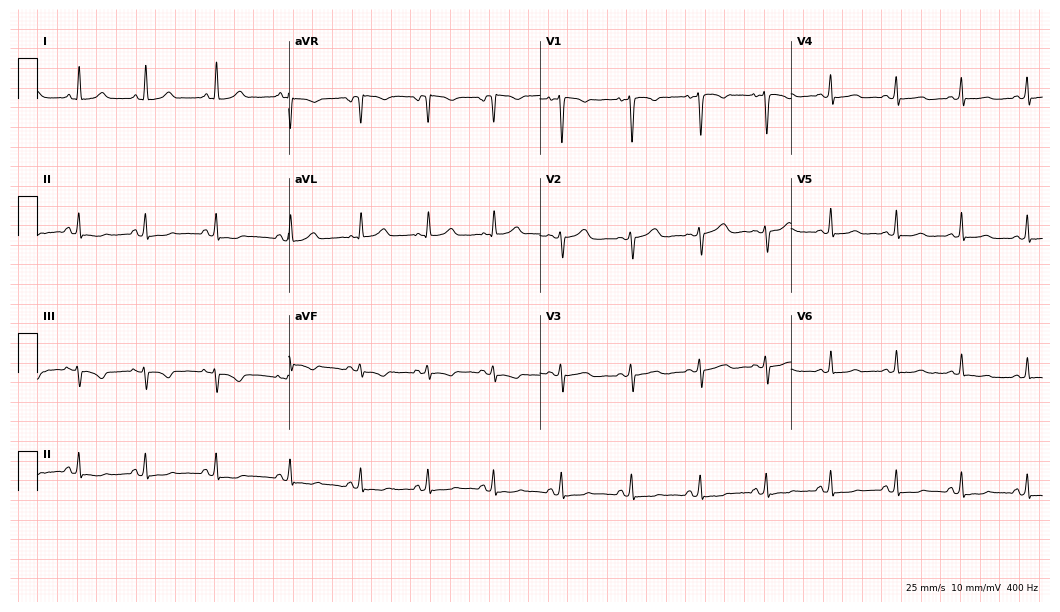
12-lead ECG (10.2-second recording at 400 Hz) from a female patient, 26 years old. Labelled as a normal ECG.